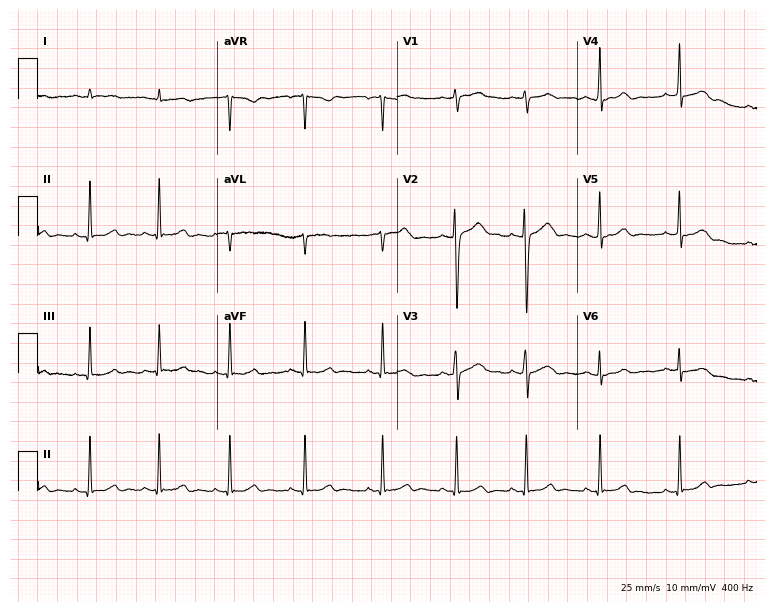
12-lead ECG from a female patient, 18 years old. Recorded interpretation: within normal limits.